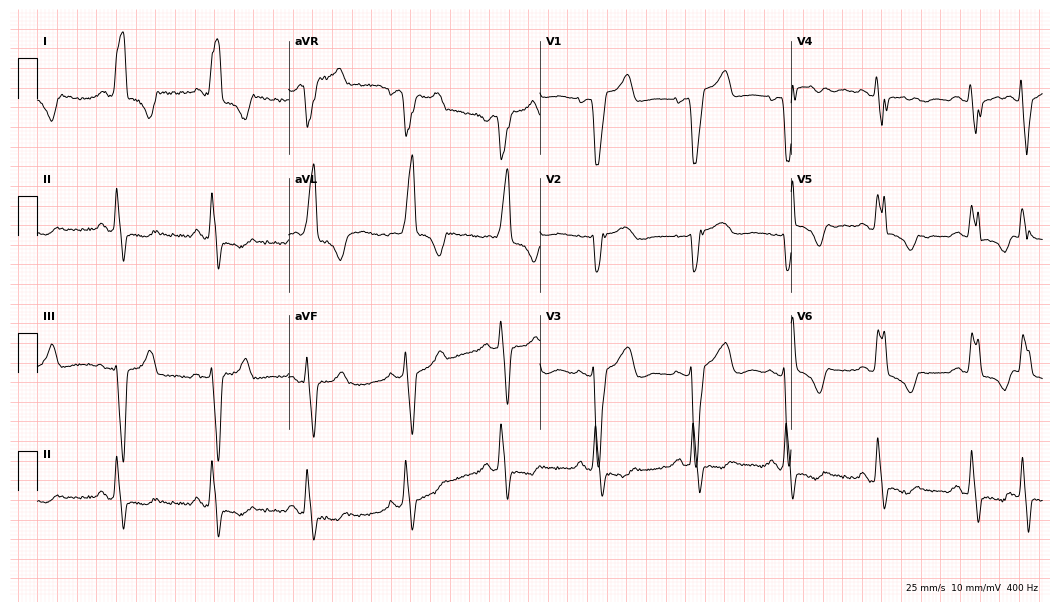
Standard 12-lead ECG recorded from a female patient, 71 years old. The tracing shows left bundle branch block (LBBB).